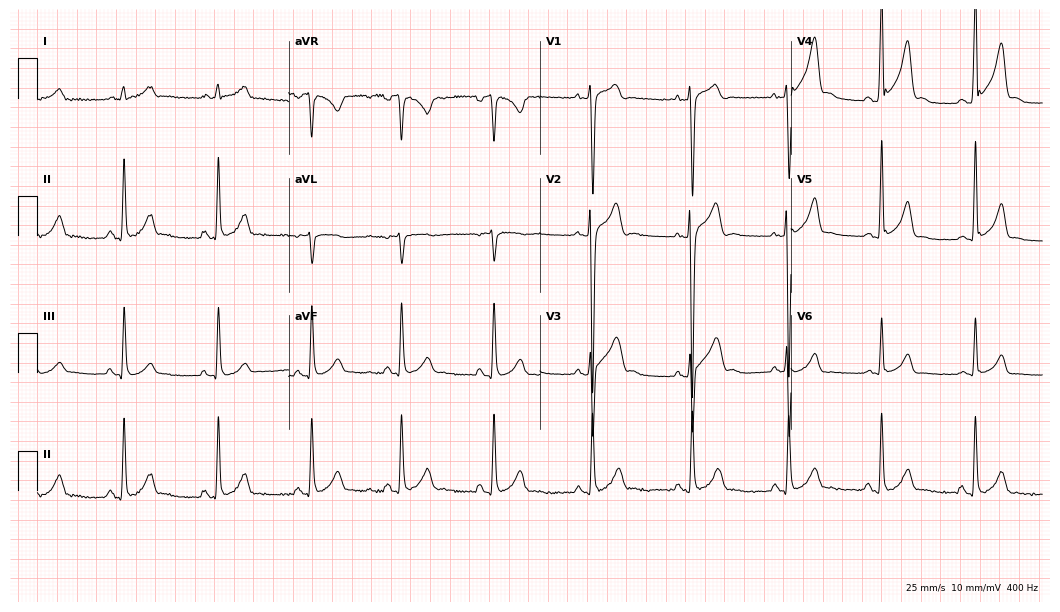
Standard 12-lead ECG recorded from a 19-year-old male (10.2-second recording at 400 Hz). Read as a normal ECG.